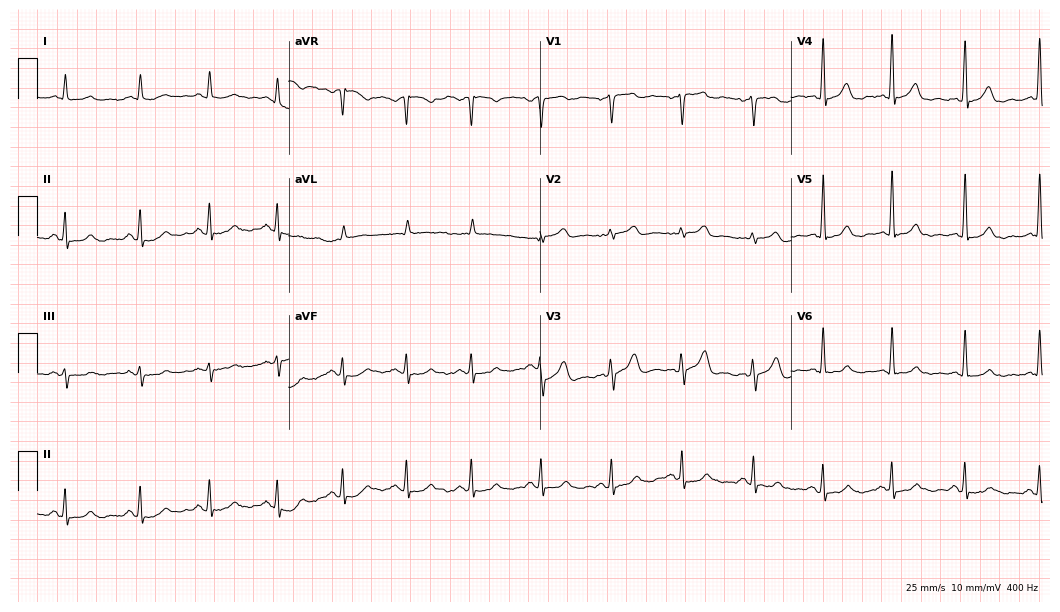
12-lead ECG from a male, 53 years old. Recorded interpretation: within normal limits.